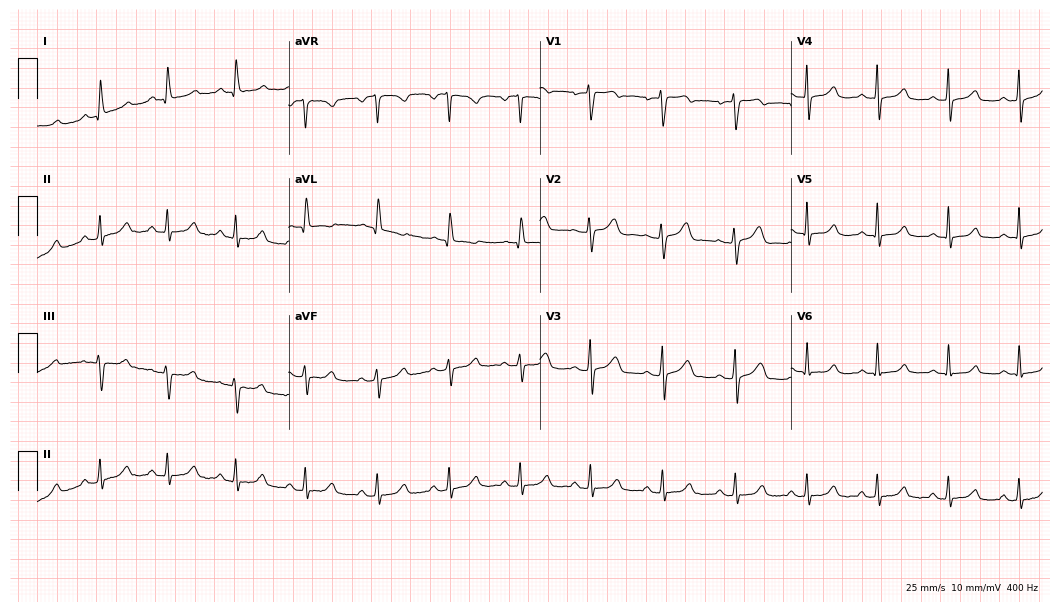
Standard 12-lead ECG recorded from a woman, 49 years old (10.2-second recording at 400 Hz). None of these six findings is recorded: first-degree AV block, right bundle branch block (RBBB), left bundle branch block (LBBB), sinus bradycardia, atrial fibrillation (AF), sinus tachycardia. Findings outside these six are not listed.